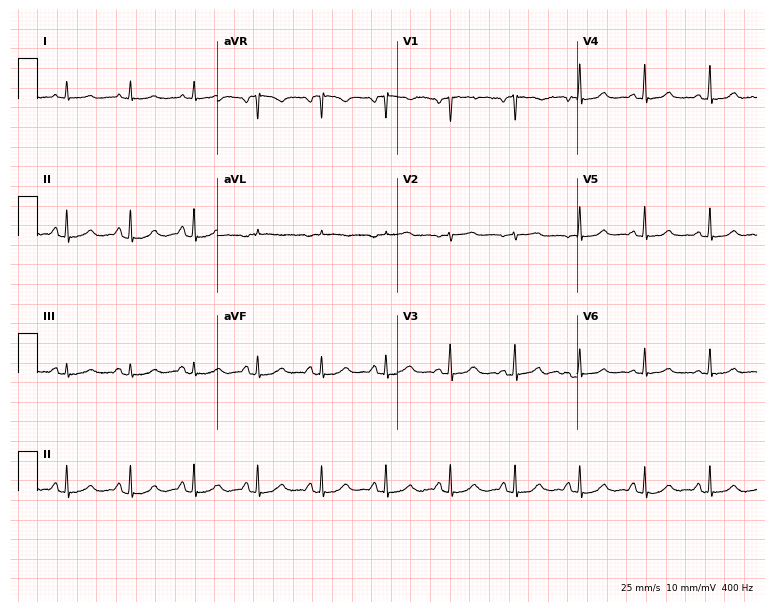
12-lead ECG from a 61-year-old woman. Recorded interpretation: within normal limits.